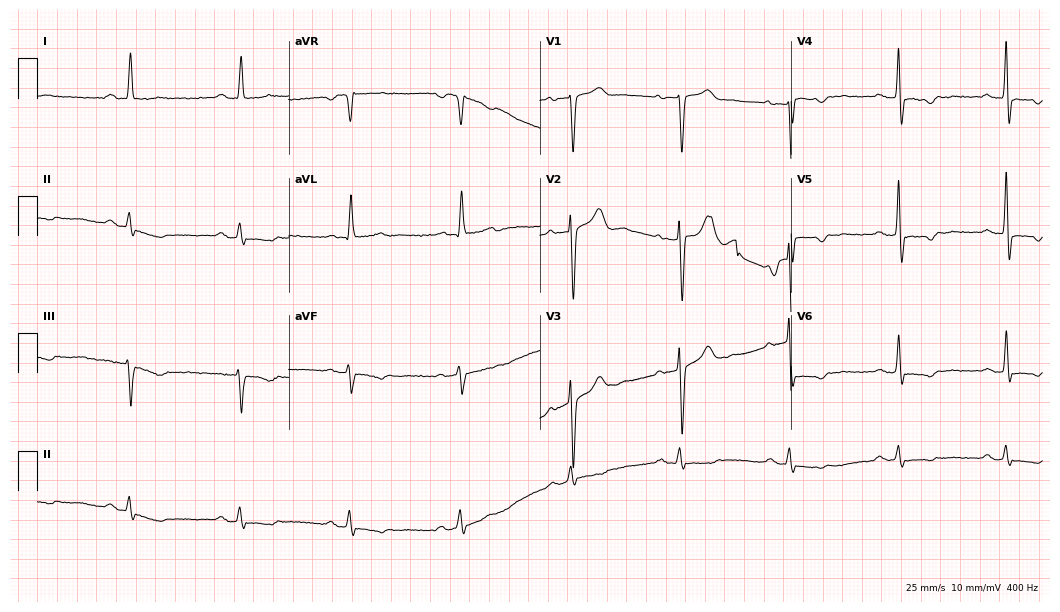
Standard 12-lead ECG recorded from a 64-year-old man. None of these six findings is recorded: first-degree AV block, right bundle branch block (RBBB), left bundle branch block (LBBB), sinus bradycardia, atrial fibrillation (AF), sinus tachycardia.